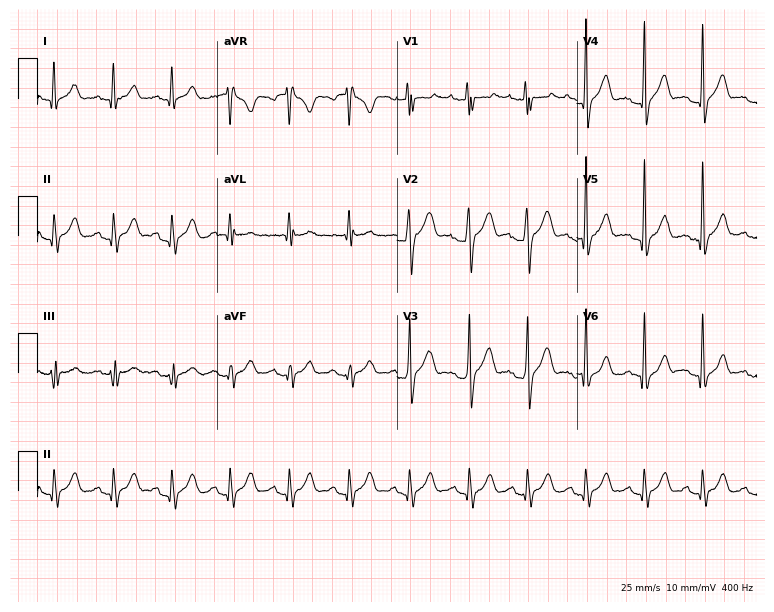
Standard 12-lead ECG recorded from a male patient, 20 years old. The tracing shows sinus tachycardia (a sinus rate of 100 beats per minute or more).